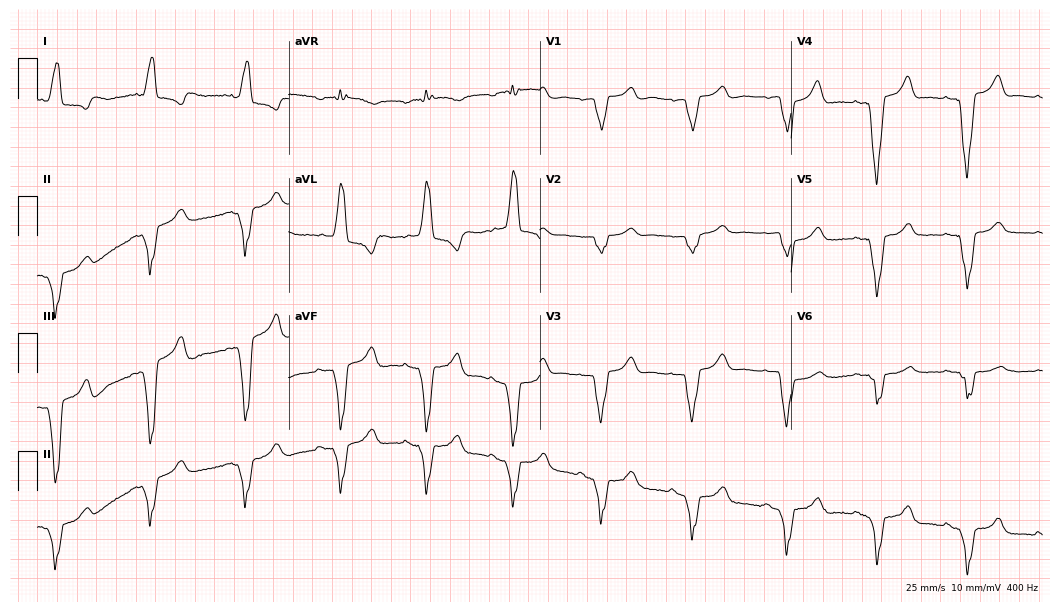
ECG — a female patient, 82 years old. Screened for six findings — first-degree AV block, right bundle branch block, left bundle branch block, sinus bradycardia, atrial fibrillation, sinus tachycardia — none is recorded. Findings outside these six are not listed.